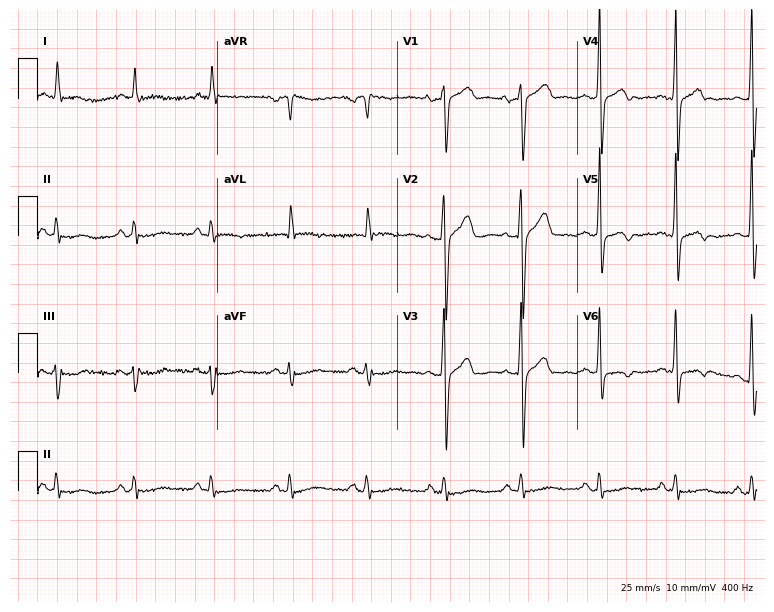
12-lead ECG (7.3-second recording at 400 Hz) from a 69-year-old male. Screened for six findings — first-degree AV block, right bundle branch block, left bundle branch block, sinus bradycardia, atrial fibrillation, sinus tachycardia — none is recorded. Other findings, if any, are not listed.